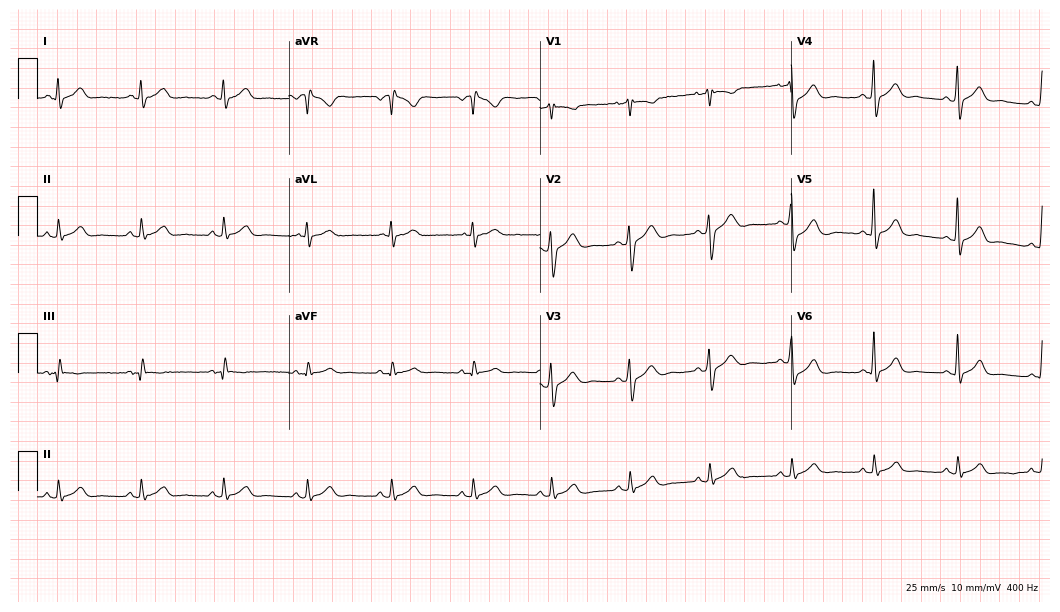
Resting 12-lead electrocardiogram. Patient: a male, 31 years old. Read as a normal ECG.